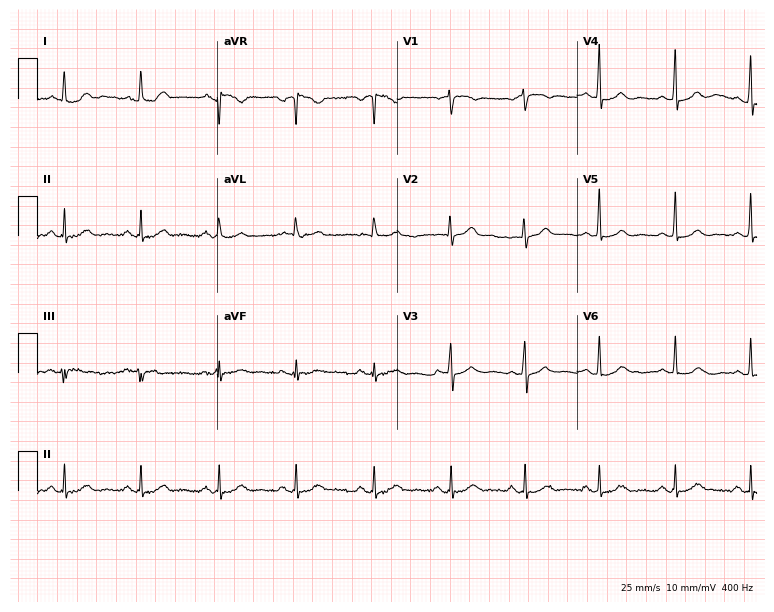
Electrocardiogram, a female, 61 years old. Overall reading on record: normal ECG.